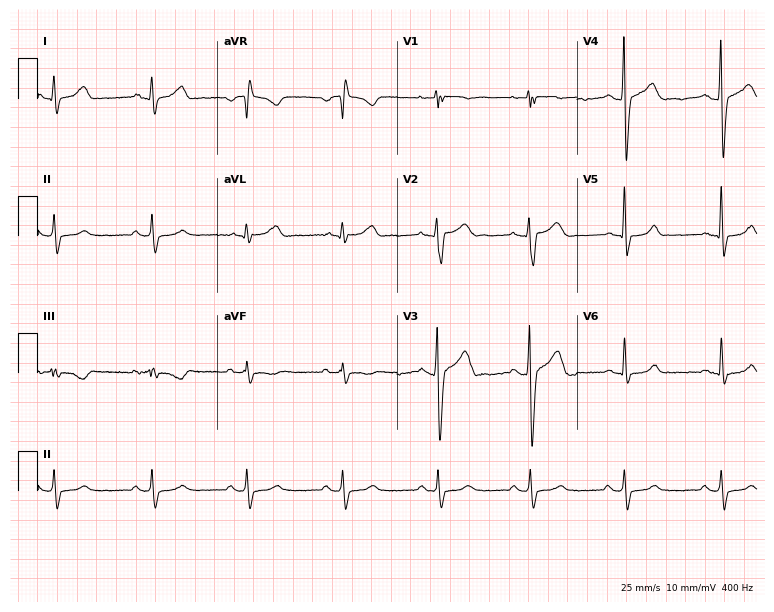
Resting 12-lead electrocardiogram (7.3-second recording at 400 Hz). Patient: a male, 36 years old. Read as a normal ECG.